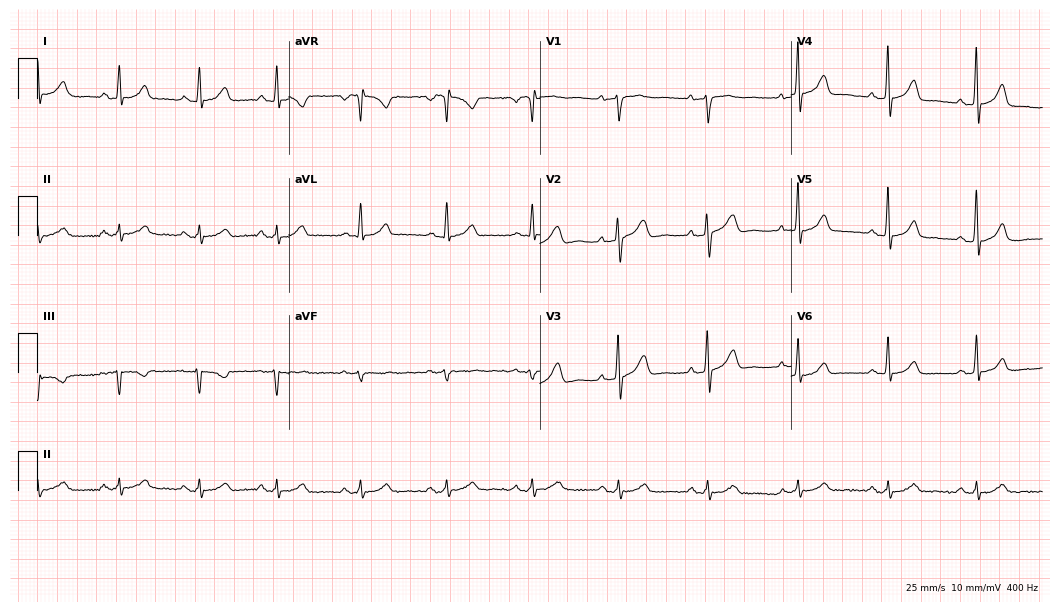
Resting 12-lead electrocardiogram (10.2-second recording at 400 Hz). Patient: a female, 49 years old. Read as a normal ECG.